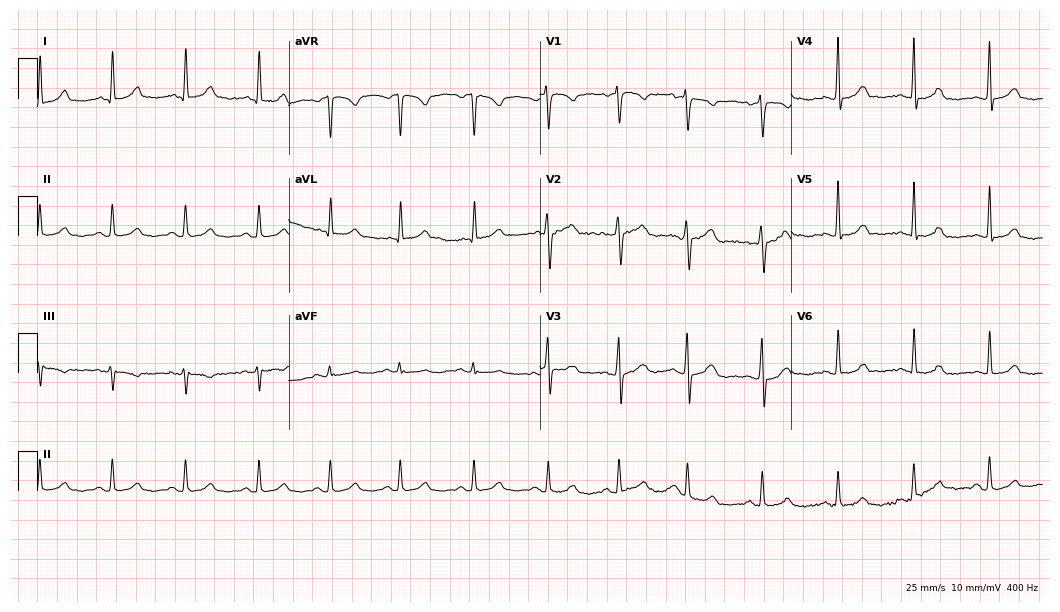
ECG — a 50-year-old woman. Labelled as a normal ECG.